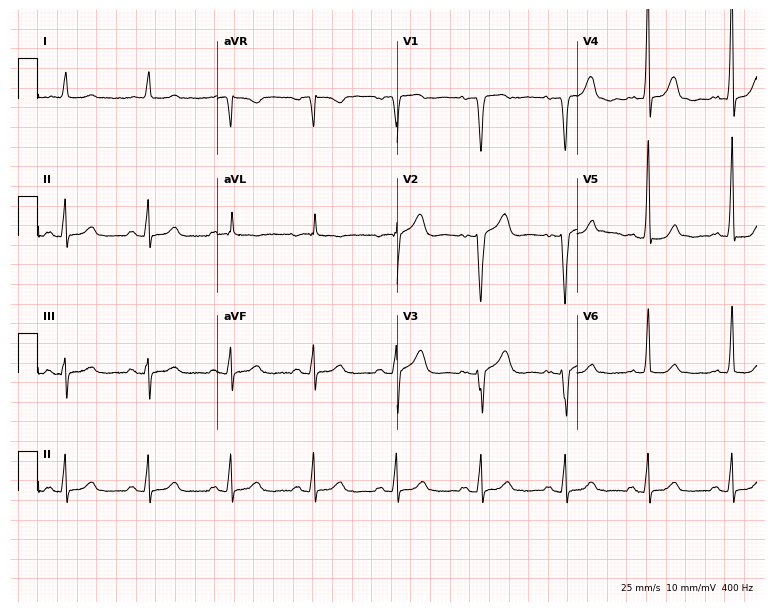
12-lead ECG from a 72-year-old woman. Screened for six findings — first-degree AV block, right bundle branch block, left bundle branch block, sinus bradycardia, atrial fibrillation, sinus tachycardia — none is recorded.